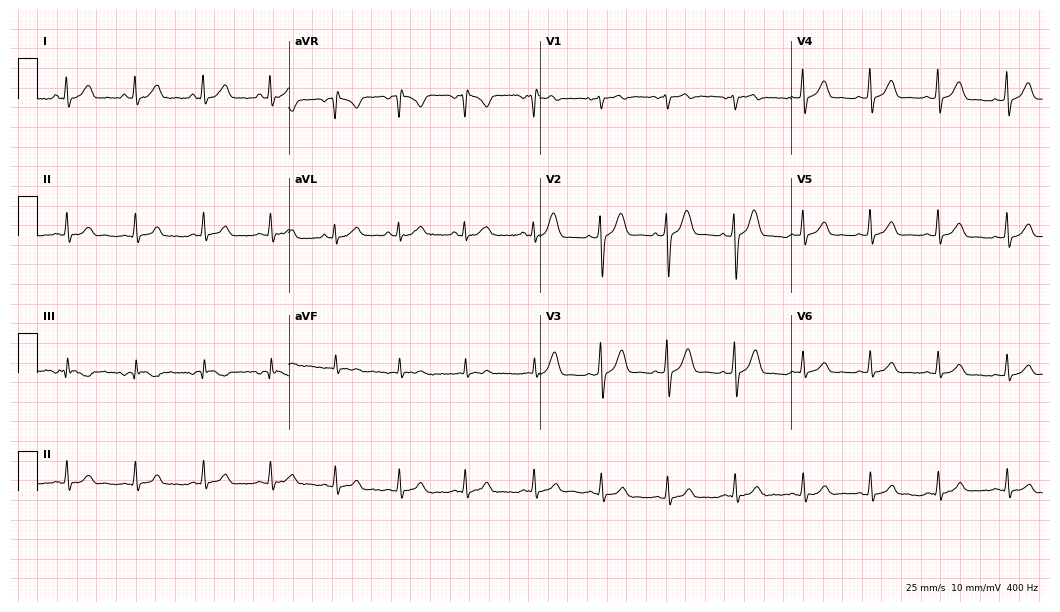
12-lead ECG from a 24-year-old woman (10.2-second recording at 400 Hz). No first-degree AV block, right bundle branch block, left bundle branch block, sinus bradycardia, atrial fibrillation or sinus tachycardia recorded for this tracing.